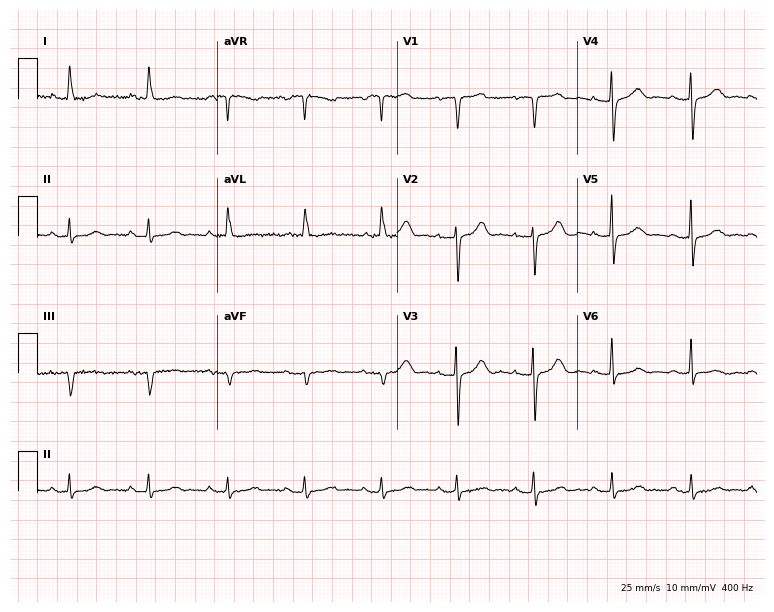
12-lead ECG (7.3-second recording at 400 Hz) from a woman, 83 years old. Labelled as a normal ECG.